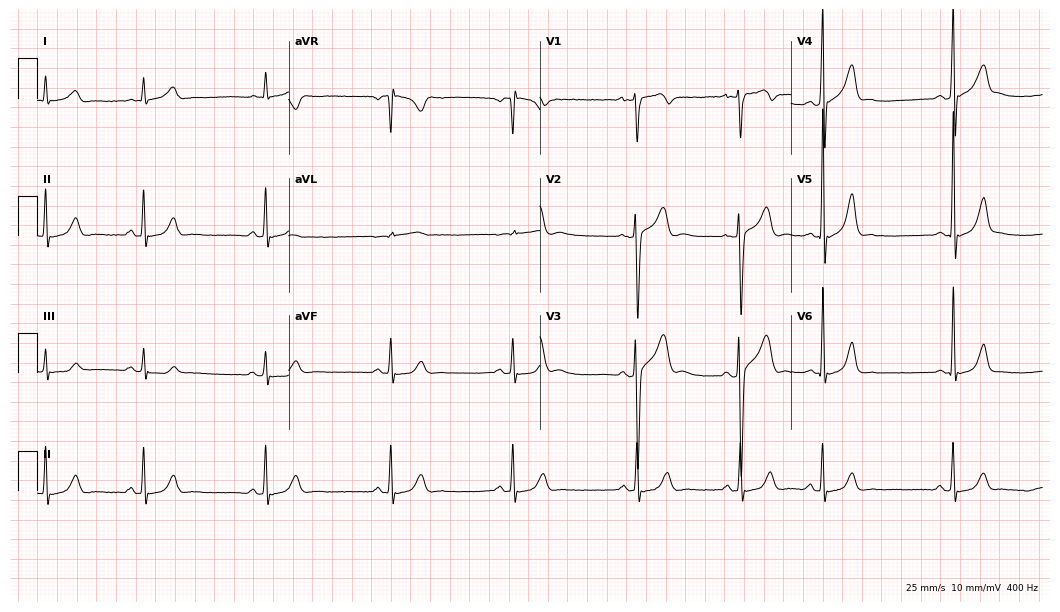
Standard 12-lead ECG recorded from a male, 18 years old (10.2-second recording at 400 Hz). Read as a normal ECG.